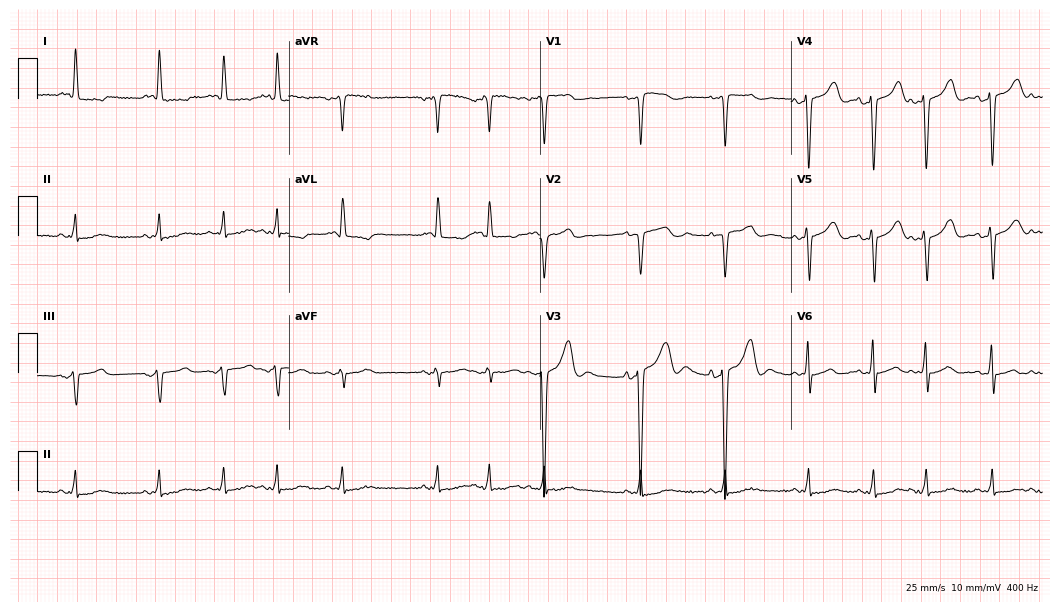
Standard 12-lead ECG recorded from a female patient, 69 years old (10.2-second recording at 400 Hz). None of these six findings is recorded: first-degree AV block, right bundle branch block (RBBB), left bundle branch block (LBBB), sinus bradycardia, atrial fibrillation (AF), sinus tachycardia. Only these six findings were labelled.